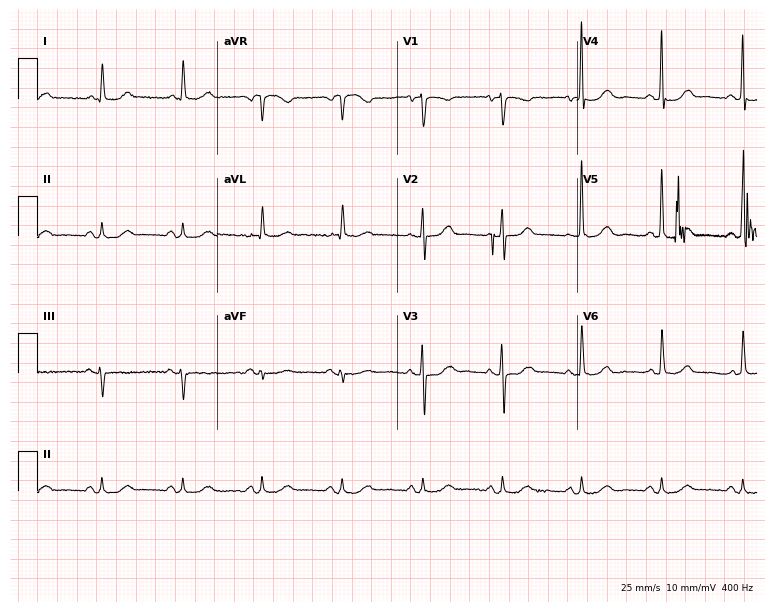
Resting 12-lead electrocardiogram. Patient: a 79-year-old woman. None of these six findings is recorded: first-degree AV block, right bundle branch block (RBBB), left bundle branch block (LBBB), sinus bradycardia, atrial fibrillation (AF), sinus tachycardia.